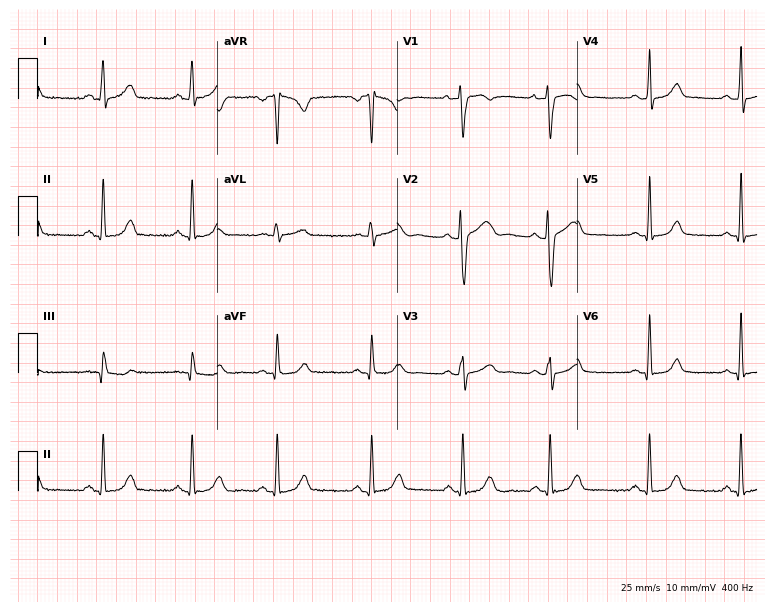
12-lead ECG (7.3-second recording at 400 Hz) from a 22-year-old female patient. Labelled as a normal ECG.